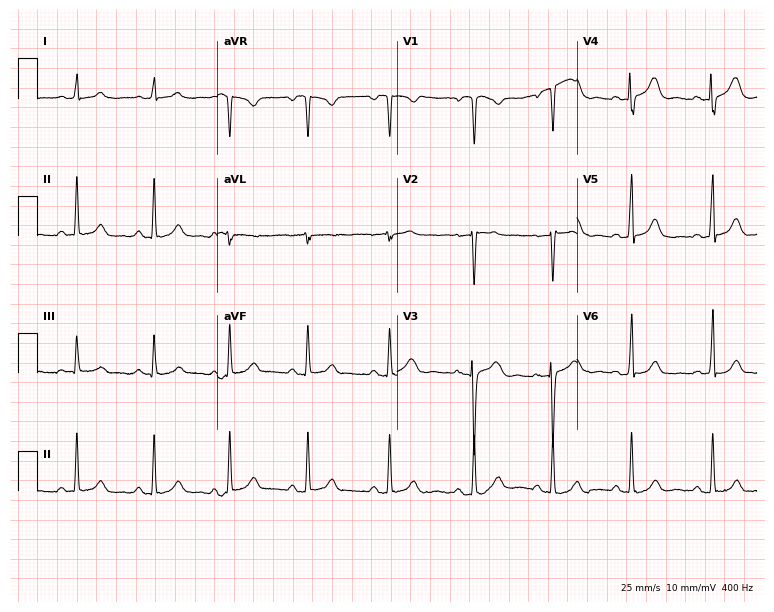
Standard 12-lead ECG recorded from a female patient, 33 years old (7.3-second recording at 400 Hz). Read as a normal ECG.